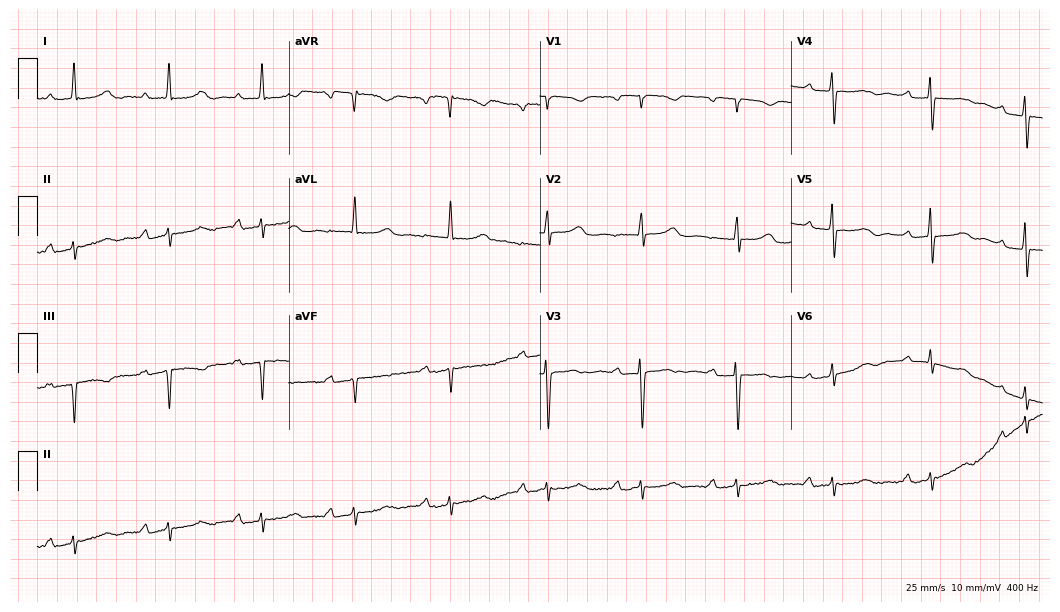
12-lead ECG (10.2-second recording at 400 Hz) from an 84-year-old female. Findings include first-degree AV block.